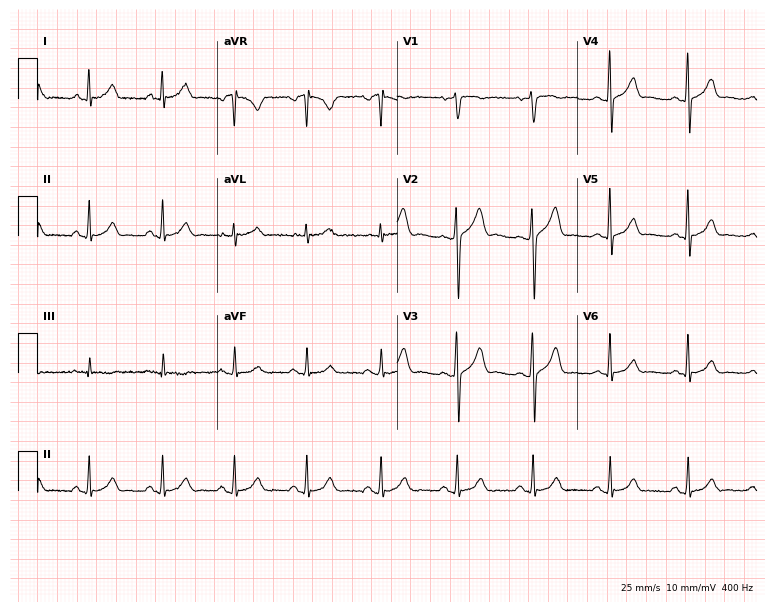
12-lead ECG from a man, 35 years old (7.3-second recording at 400 Hz). Recorded interpretation: within normal limits.